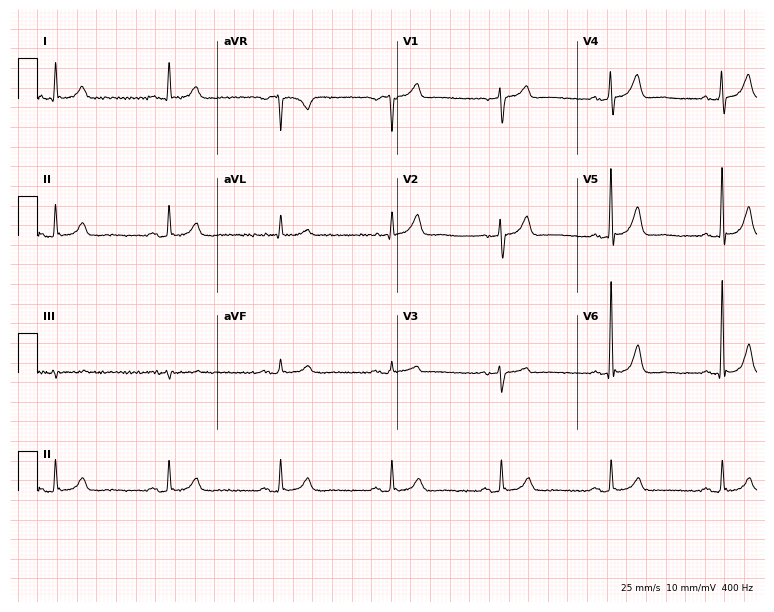
Resting 12-lead electrocardiogram. Patient: a 71-year-old man. Read as a normal ECG.